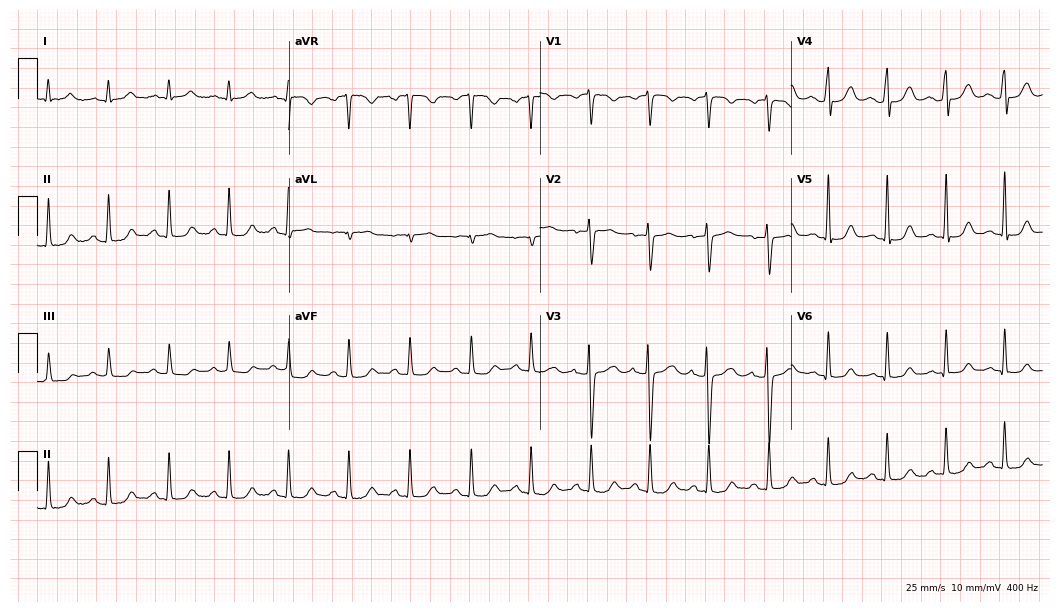
Resting 12-lead electrocardiogram. Patient: a female, 40 years old. Read as a normal ECG.